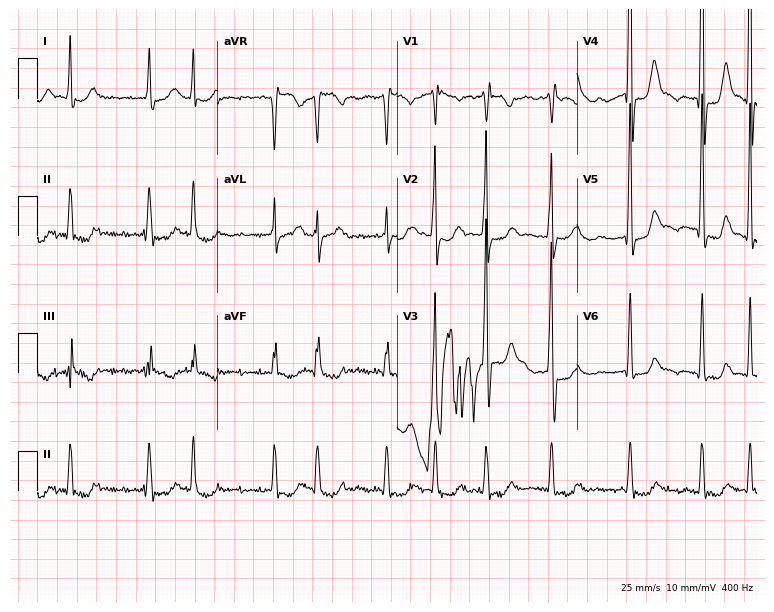
ECG (7.3-second recording at 400 Hz) — a male patient, 67 years old. Findings include atrial fibrillation.